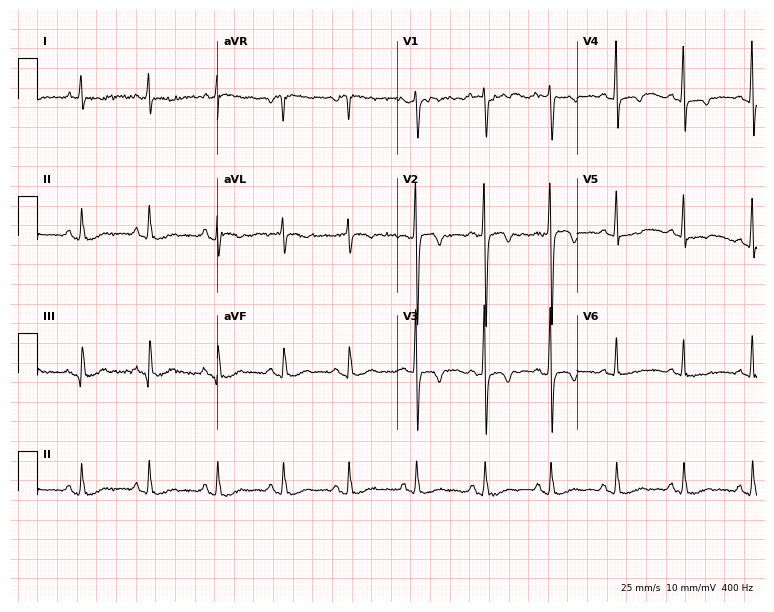
ECG (7.3-second recording at 400 Hz) — a man, 85 years old. Screened for six findings — first-degree AV block, right bundle branch block (RBBB), left bundle branch block (LBBB), sinus bradycardia, atrial fibrillation (AF), sinus tachycardia — none is recorded.